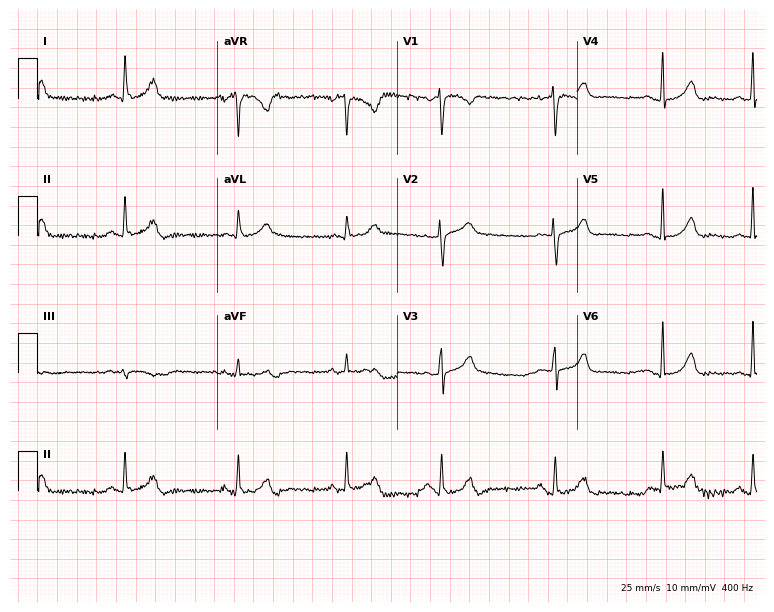
ECG — a woman, 33 years old. Screened for six findings — first-degree AV block, right bundle branch block (RBBB), left bundle branch block (LBBB), sinus bradycardia, atrial fibrillation (AF), sinus tachycardia — none is recorded.